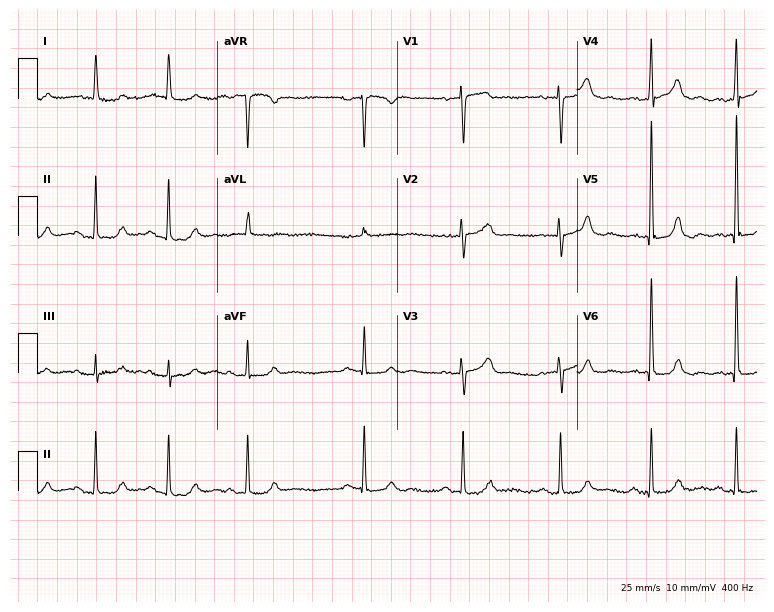
Standard 12-lead ECG recorded from an 82-year-old woman (7.3-second recording at 400 Hz). Read as a normal ECG.